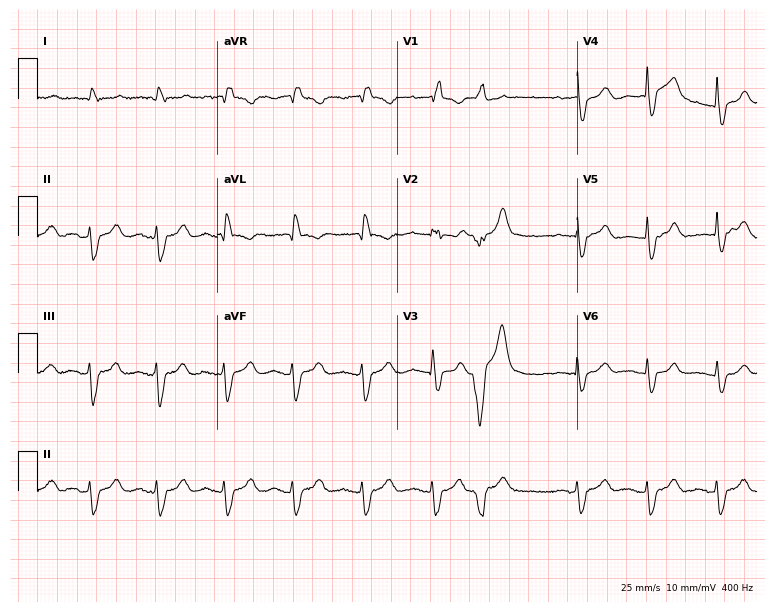
12-lead ECG from a woman, 73 years old (7.3-second recording at 400 Hz). Shows right bundle branch block (RBBB).